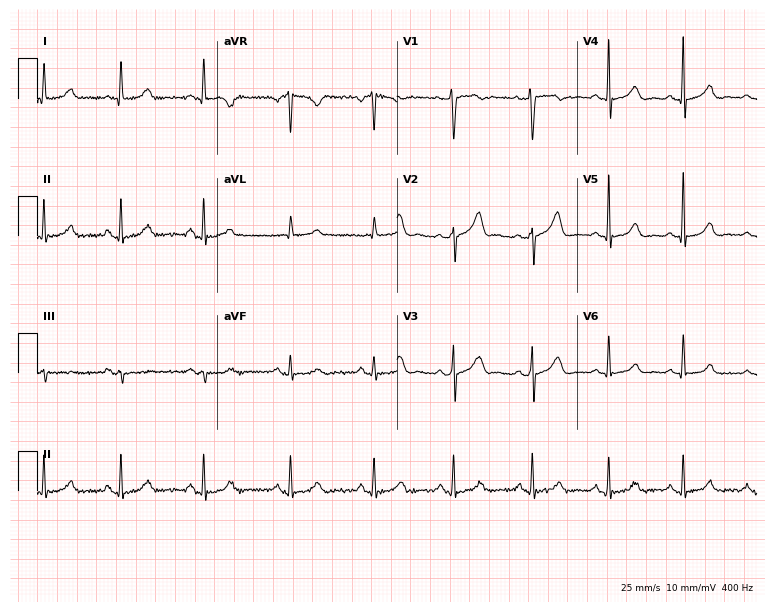
ECG — a female, 37 years old. Labelled as a normal ECG.